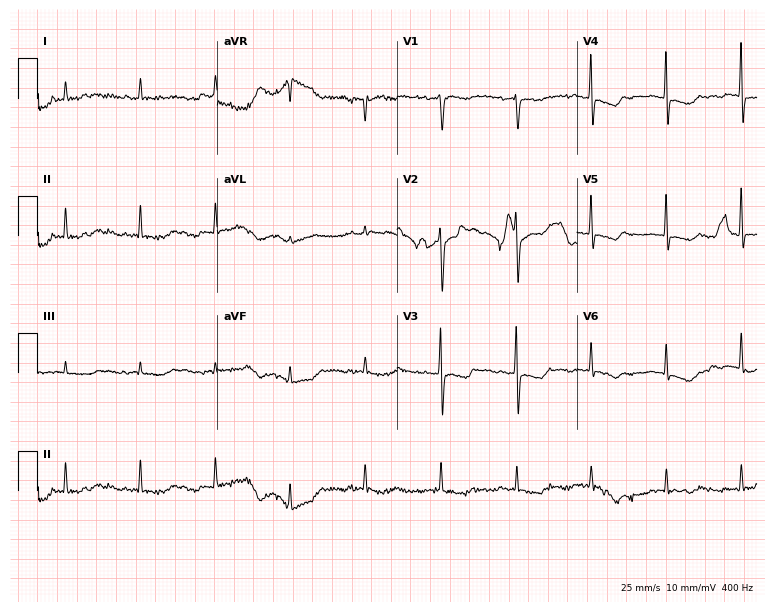
ECG — a female, 85 years old. Labelled as a normal ECG.